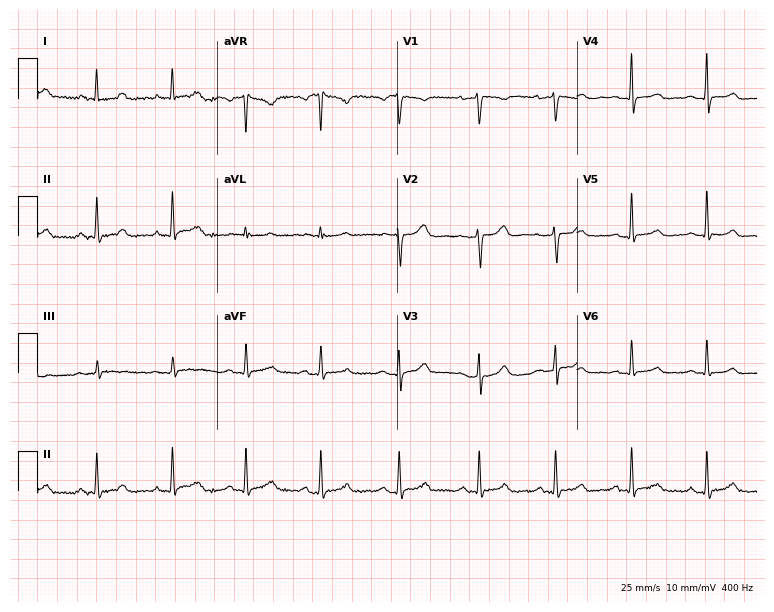
12-lead ECG from a 51-year-old female (7.3-second recording at 400 Hz). Recorded interpretation: within normal limits.